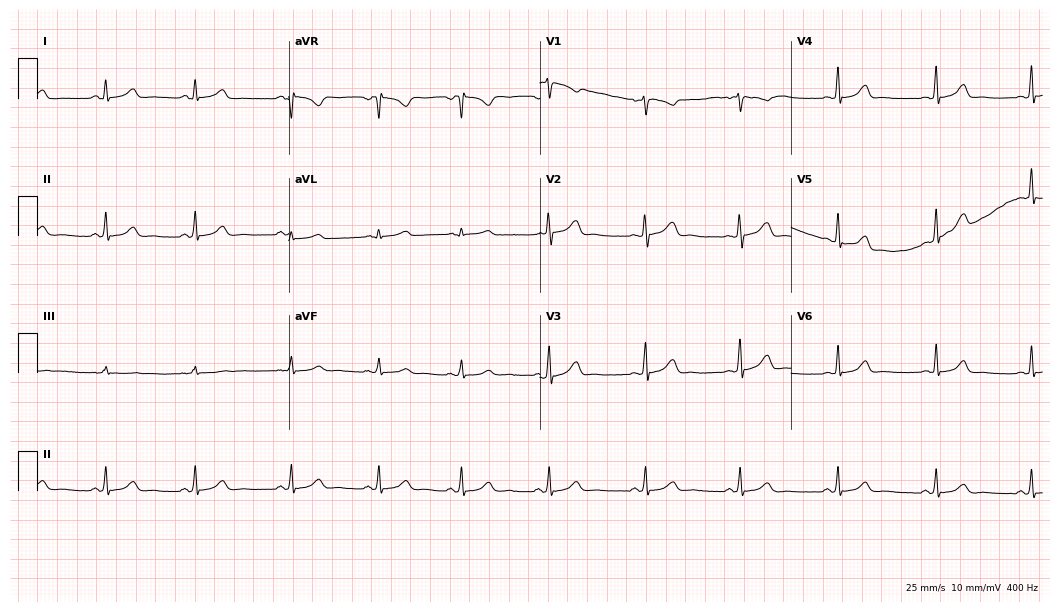
Electrocardiogram, a 20-year-old female patient. Overall reading on record: normal ECG.